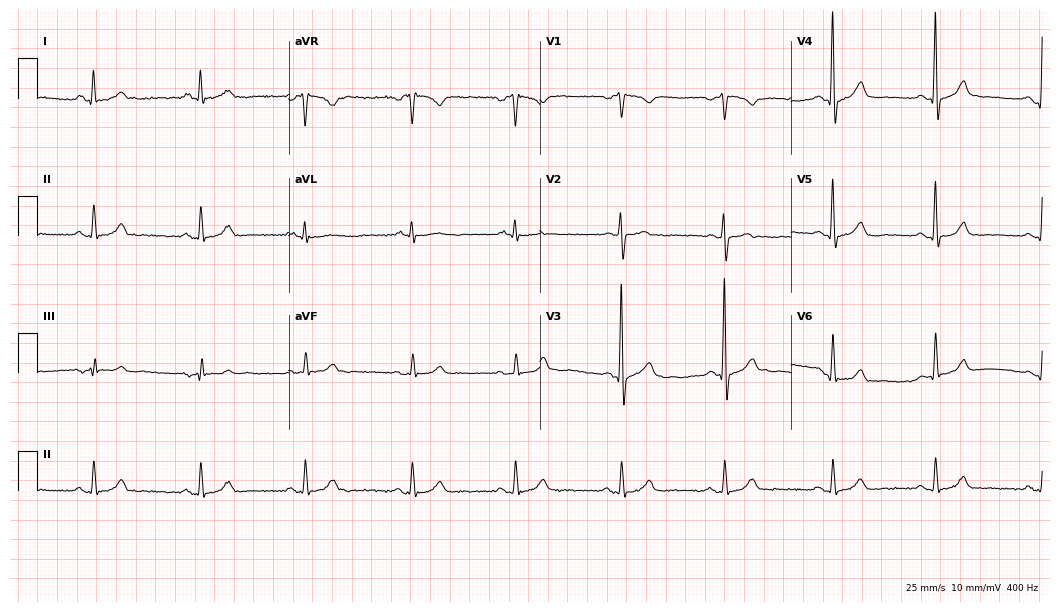
Resting 12-lead electrocardiogram. Patient: a 28-year-old male. Read as a normal ECG.